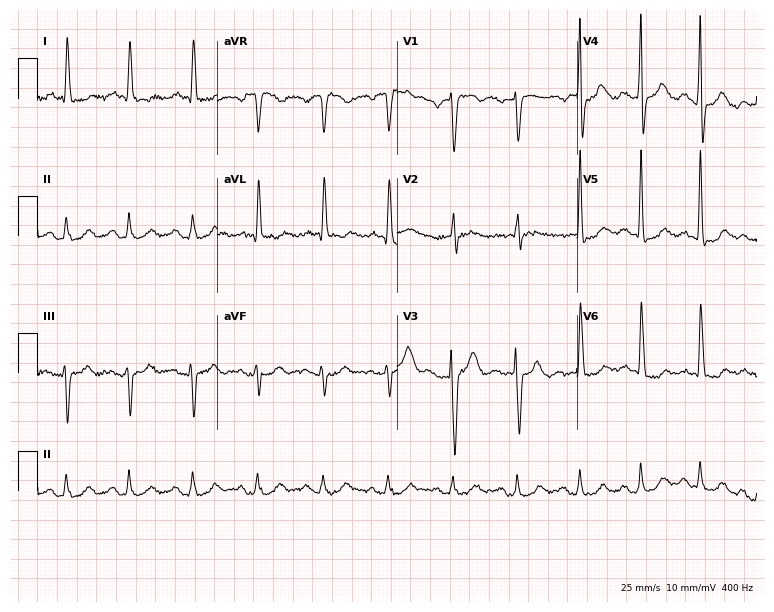
Electrocardiogram (7.3-second recording at 400 Hz), a male, 78 years old. Overall reading on record: normal ECG.